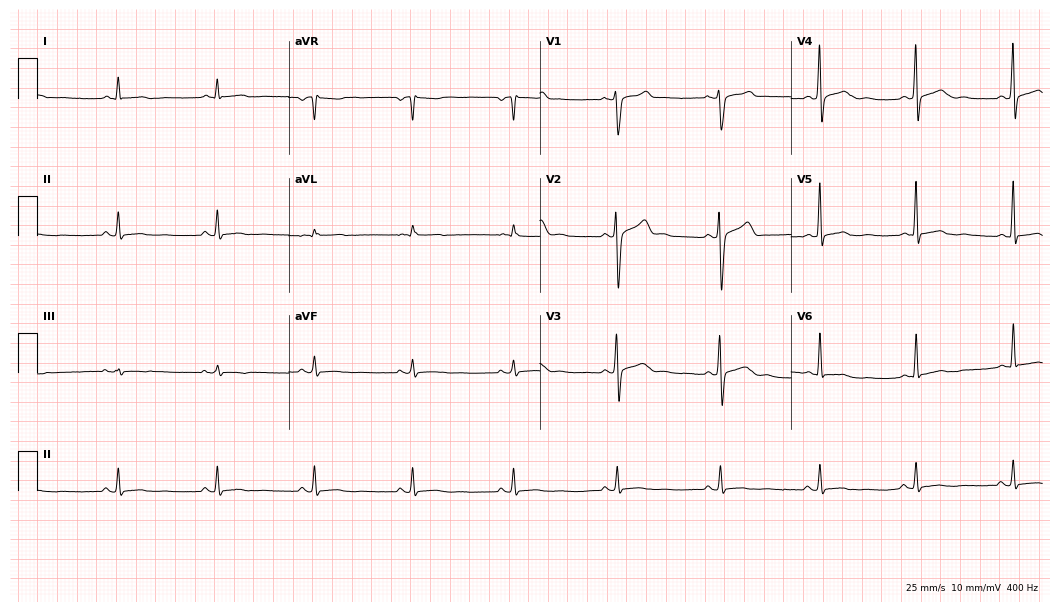
Electrocardiogram, a man, 38 years old. Of the six screened findings (first-degree AV block, right bundle branch block (RBBB), left bundle branch block (LBBB), sinus bradycardia, atrial fibrillation (AF), sinus tachycardia), none is recorded. Other findings, if any, are not listed.